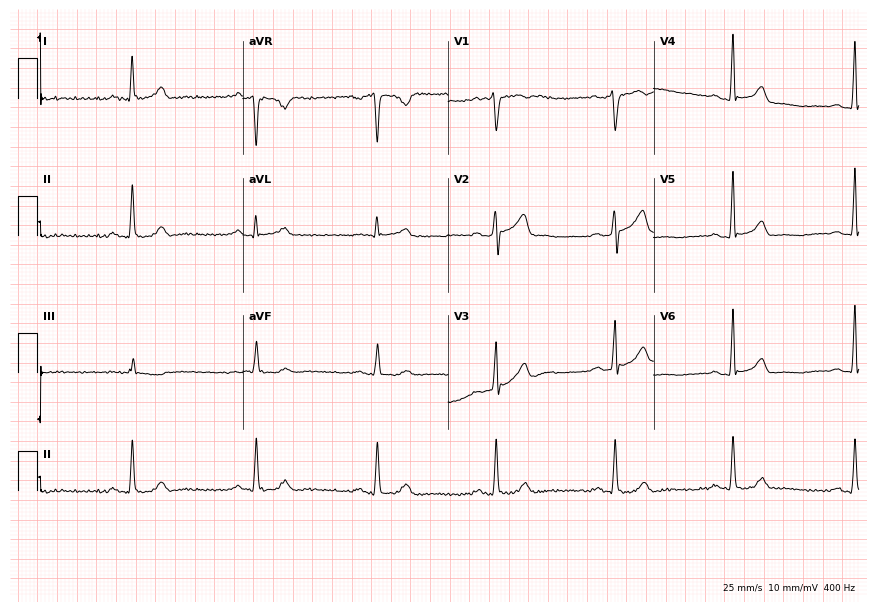
Resting 12-lead electrocardiogram (8.4-second recording at 400 Hz). Patient: a 45-year-old male. None of these six findings is recorded: first-degree AV block, right bundle branch block (RBBB), left bundle branch block (LBBB), sinus bradycardia, atrial fibrillation (AF), sinus tachycardia. Other findings, if any, are not listed.